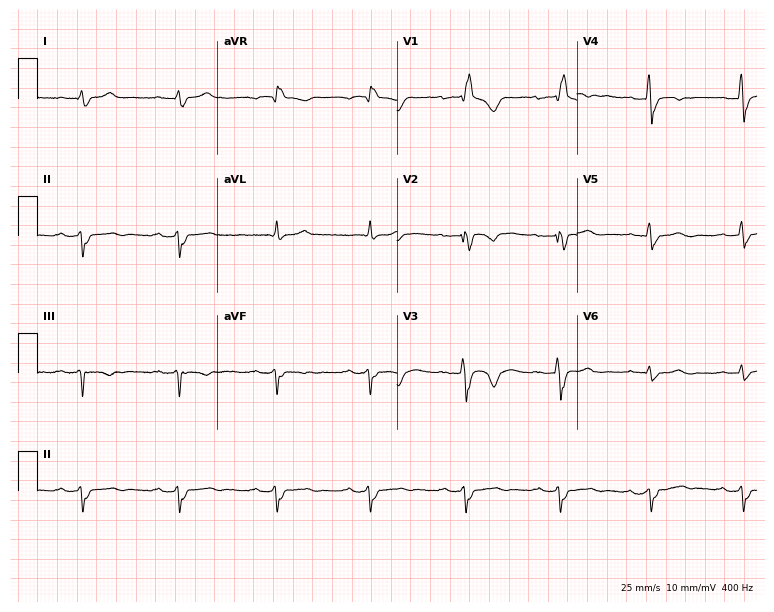
12-lead ECG from a 33-year-old man (7.3-second recording at 400 Hz). Shows first-degree AV block, right bundle branch block.